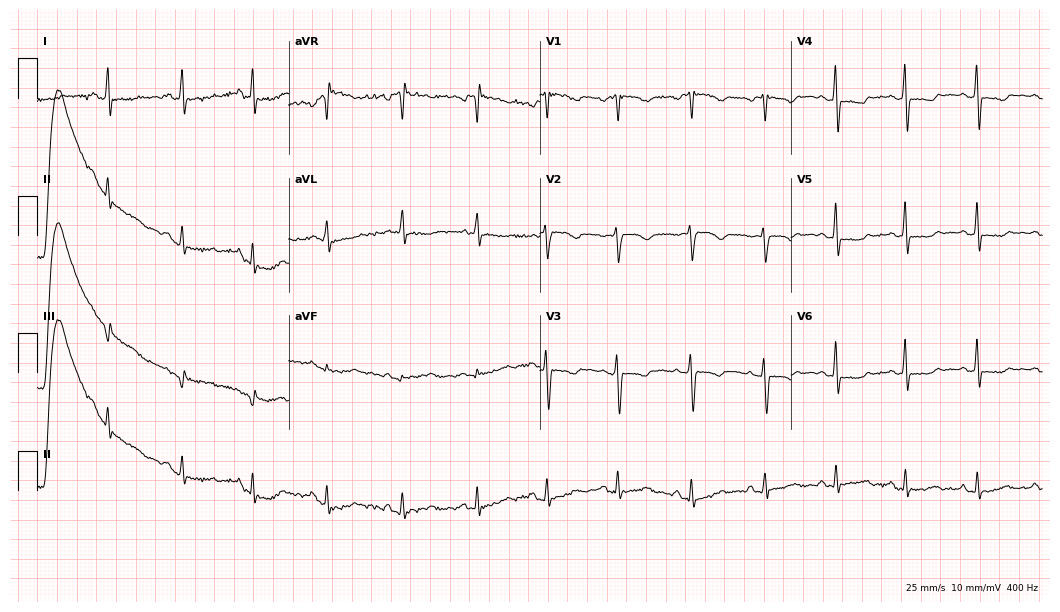
Standard 12-lead ECG recorded from a female patient, 52 years old (10.2-second recording at 400 Hz). None of these six findings is recorded: first-degree AV block, right bundle branch block (RBBB), left bundle branch block (LBBB), sinus bradycardia, atrial fibrillation (AF), sinus tachycardia. Only these six findings were labelled.